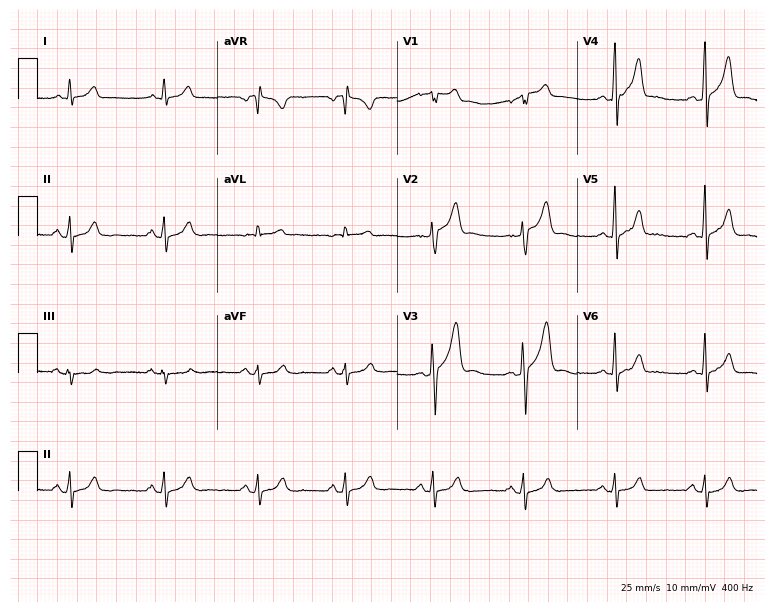
12-lead ECG (7.3-second recording at 400 Hz) from a 46-year-old man. Screened for six findings — first-degree AV block, right bundle branch block, left bundle branch block, sinus bradycardia, atrial fibrillation, sinus tachycardia — none is recorded. Other findings, if any, are not listed.